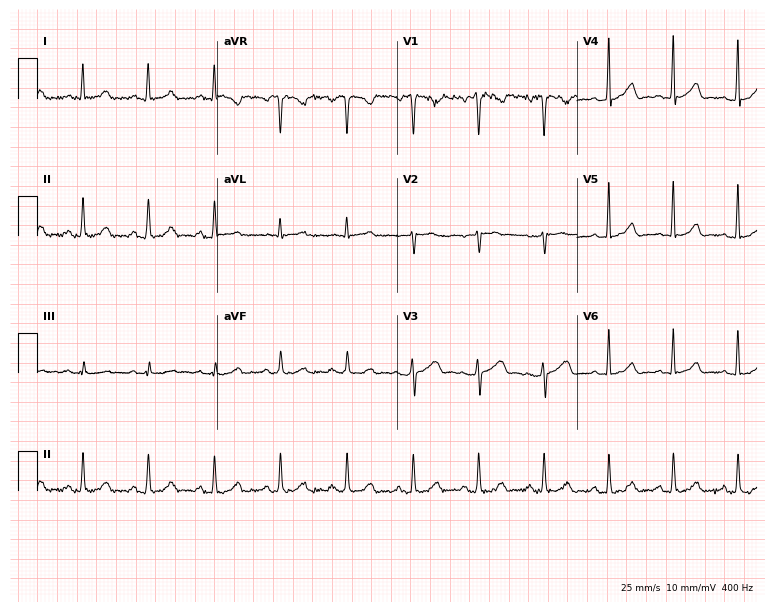
Resting 12-lead electrocardiogram. Patient: a 21-year-old female. Read as a normal ECG.